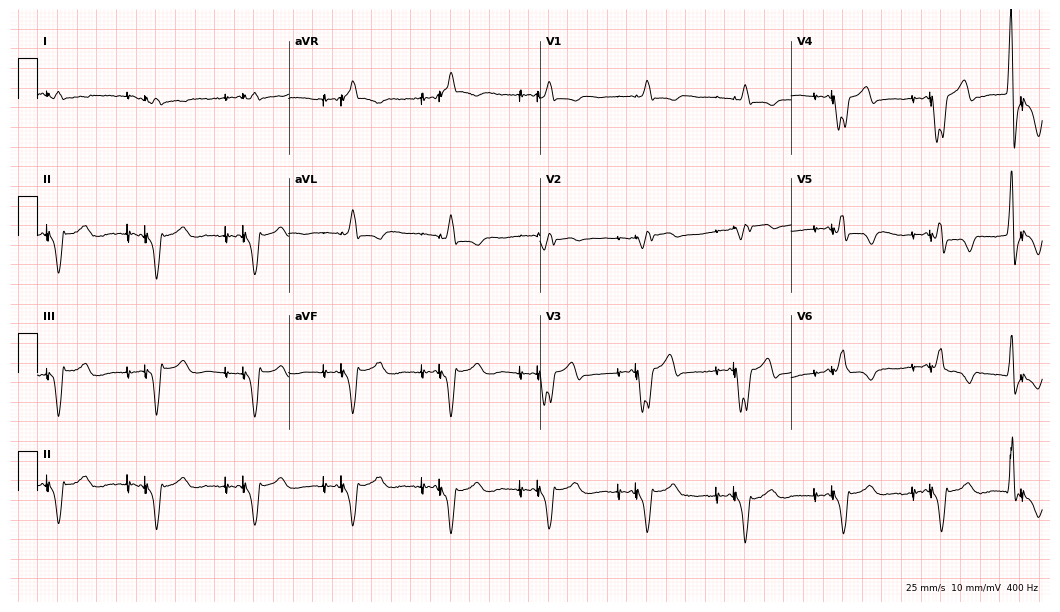
Electrocardiogram, an 83-year-old male patient. Of the six screened findings (first-degree AV block, right bundle branch block, left bundle branch block, sinus bradycardia, atrial fibrillation, sinus tachycardia), none is recorded.